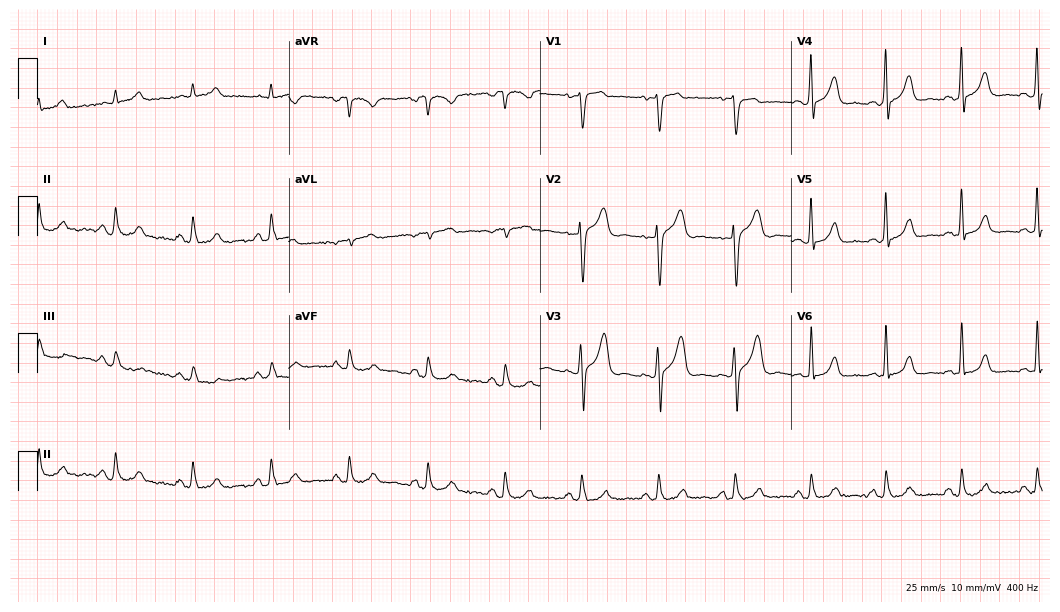
12-lead ECG from a male, 54 years old (10.2-second recording at 400 Hz). Recorded interpretation: within normal limits.